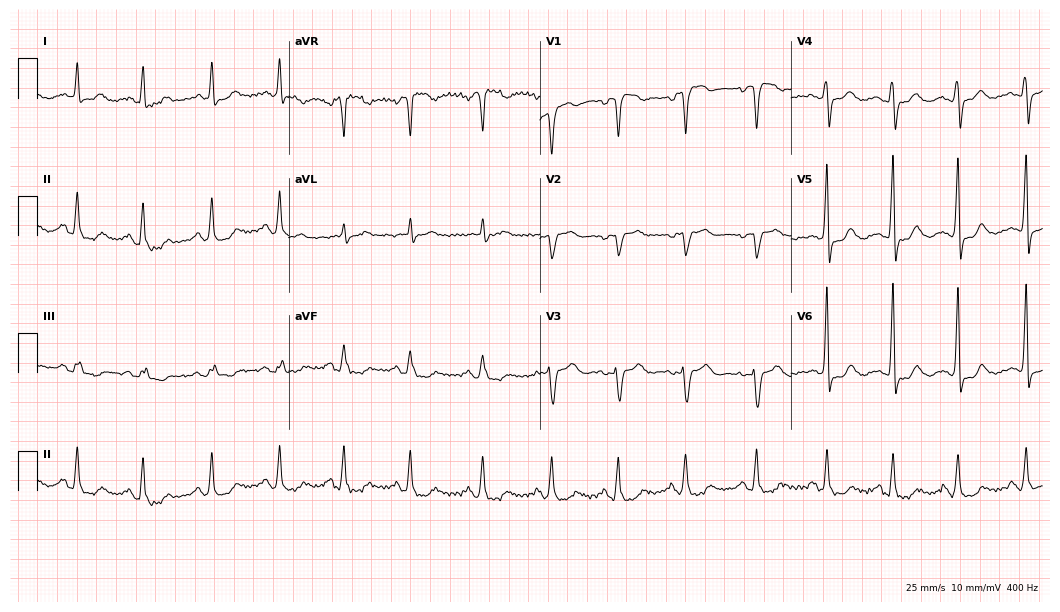
ECG — a female patient, 65 years old. Screened for six findings — first-degree AV block, right bundle branch block (RBBB), left bundle branch block (LBBB), sinus bradycardia, atrial fibrillation (AF), sinus tachycardia — none is recorded.